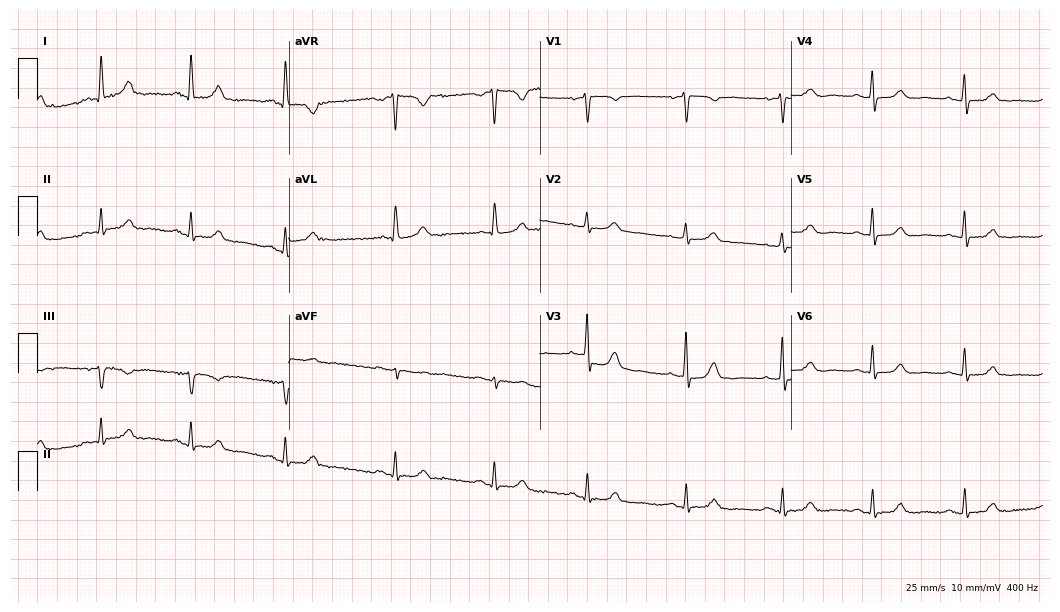
12-lead ECG from a 67-year-old female patient. Labelled as a normal ECG.